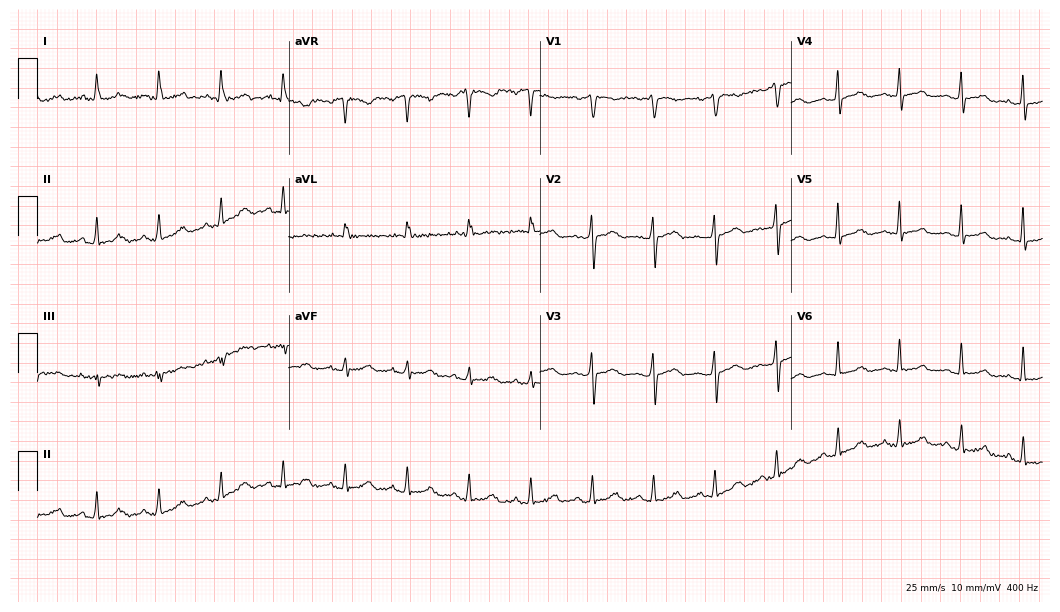
Standard 12-lead ECG recorded from a woman, 57 years old. Read as a normal ECG.